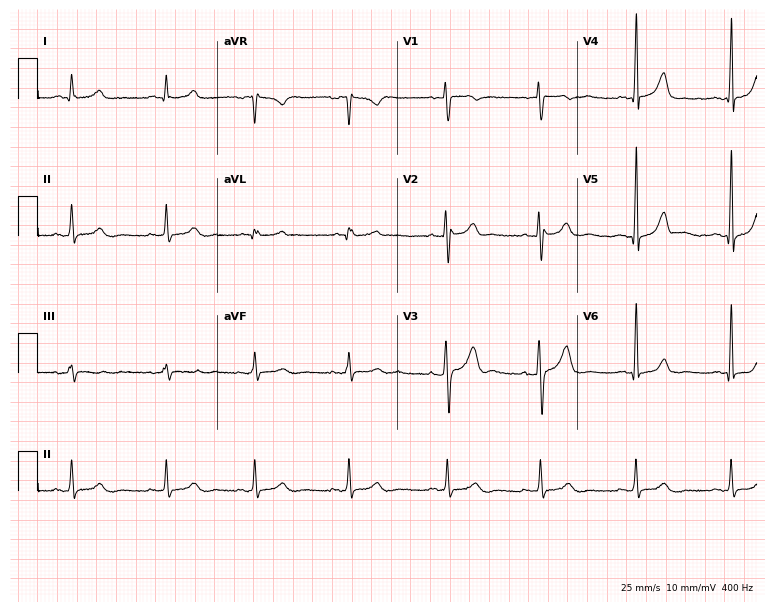
Resting 12-lead electrocardiogram (7.3-second recording at 400 Hz). Patient: a male, 37 years old. Read as a normal ECG.